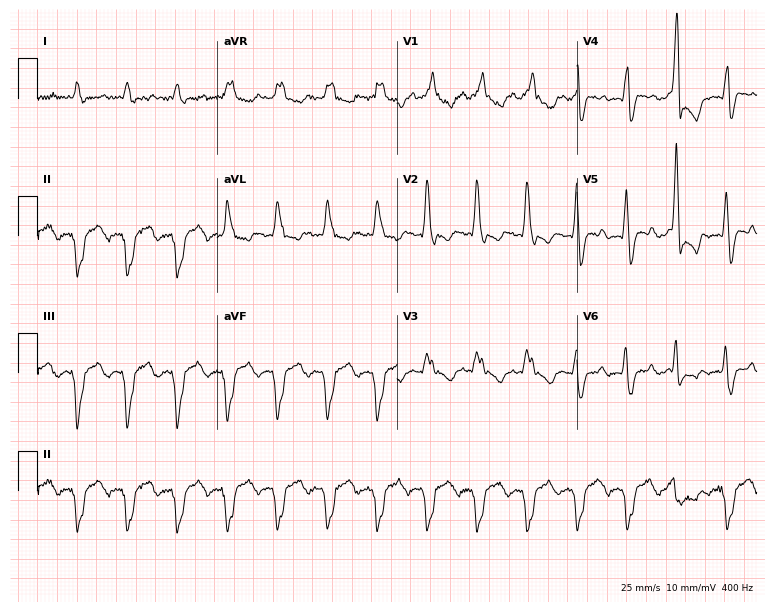
12-lead ECG from a male patient, 50 years old (7.3-second recording at 400 Hz). No first-degree AV block, right bundle branch block, left bundle branch block, sinus bradycardia, atrial fibrillation or sinus tachycardia recorded for this tracing.